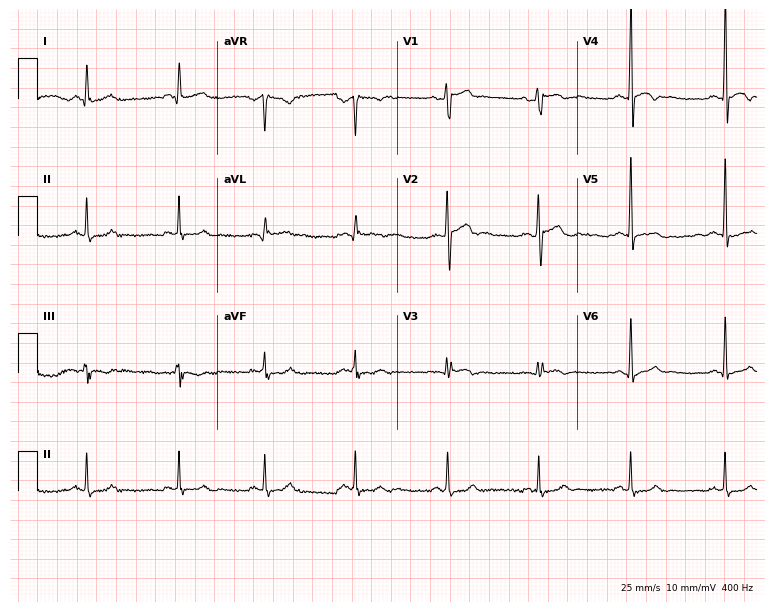
Standard 12-lead ECG recorded from a 20-year-old male patient. None of these six findings is recorded: first-degree AV block, right bundle branch block (RBBB), left bundle branch block (LBBB), sinus bradycardia, atrial fibrillation (AF), sinus tachycardia. Only these six findings were labelled.